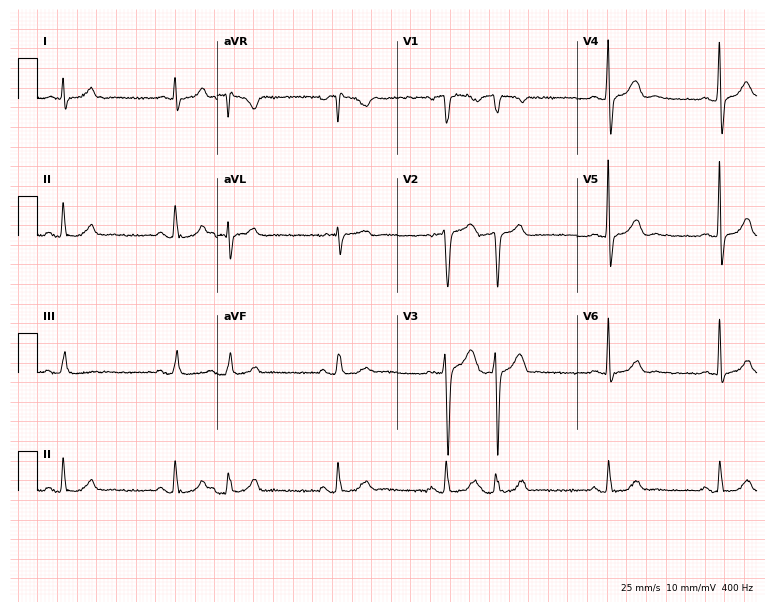
ECG (7.3-second recording at 400 Hz) — a 36-year-old man. Screened for six findings — first-degree AV block, right bundle branch block (RBBB), left bundle branch block (LBBB), sinus bradycardia, atrial fibrillation (AF), sinus tachycardia — none is recorded.